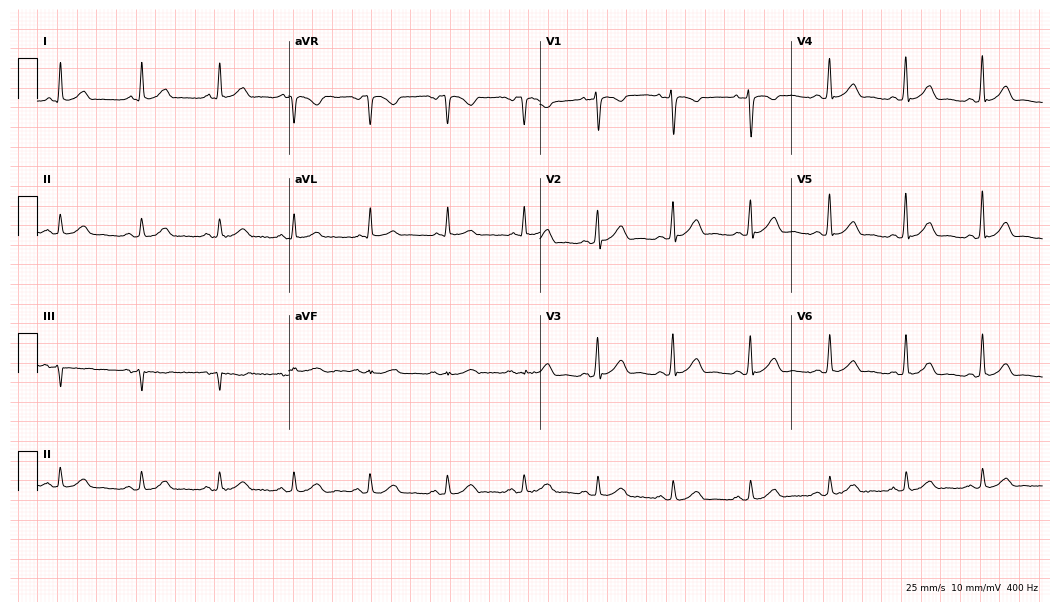
12-lead ECG from a 41-year-old male patient (10.2-second recording at 400 Hz). Recorded interpretation: within normal limits.